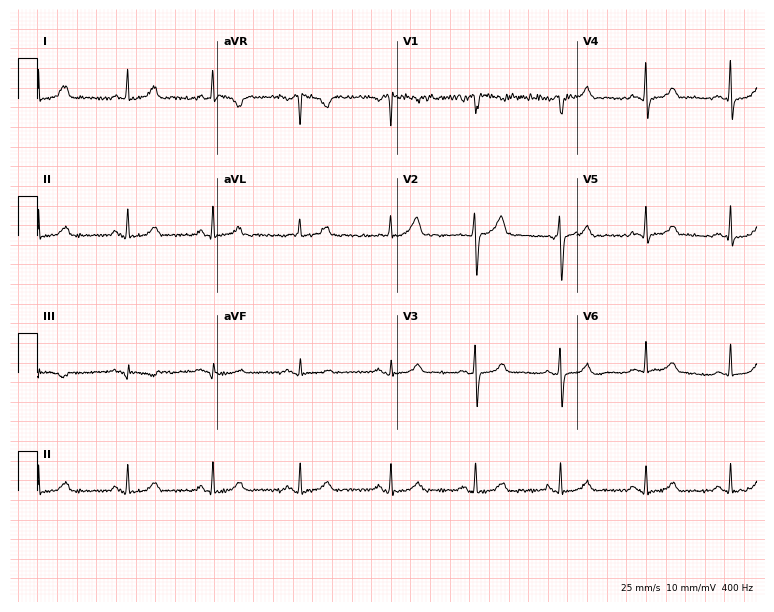
Standard 12-lead ECG recorded from a female patient, 50 years old (7.3-second recording at 400 Hz). Read as a normal ECG.